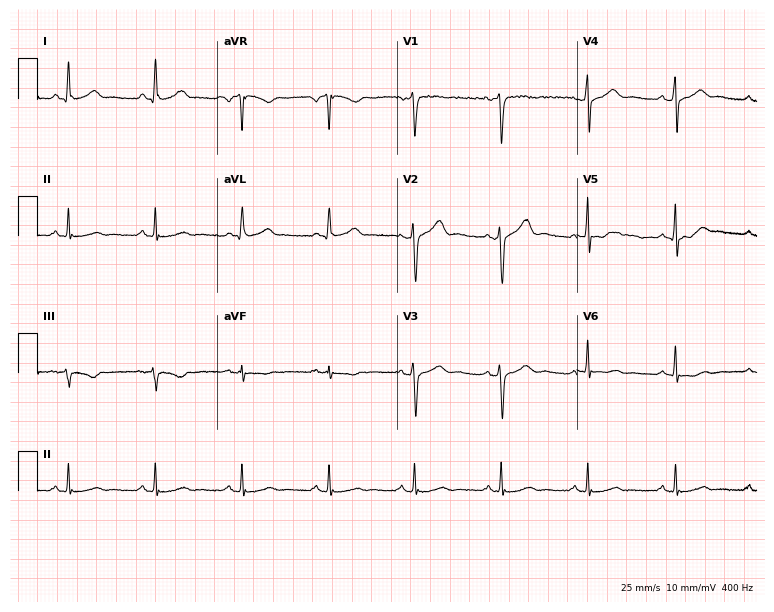
12-lead ECG from a 58-year-old woman. Recorded interpretation: within normal limits.